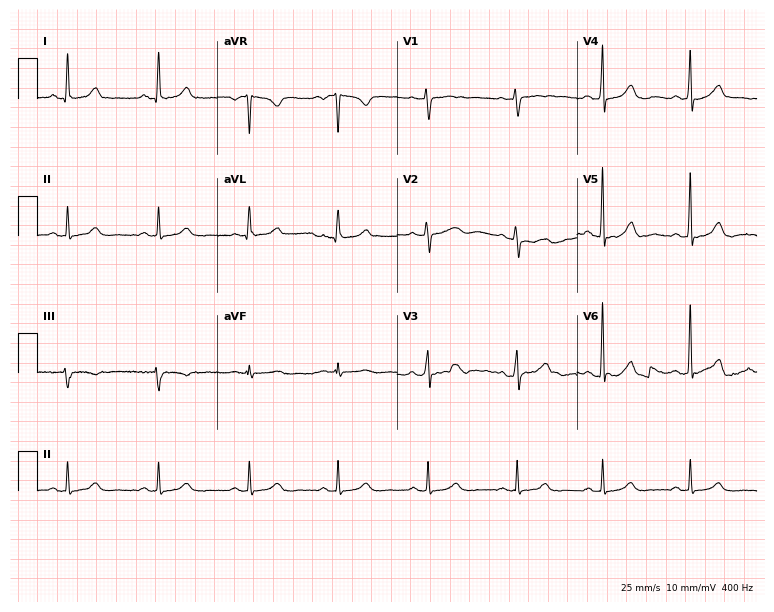
Electrocardiogram (7.3-second recording at 400 Hz), a female, 47 years old. Overall reading on record: normal ECG.